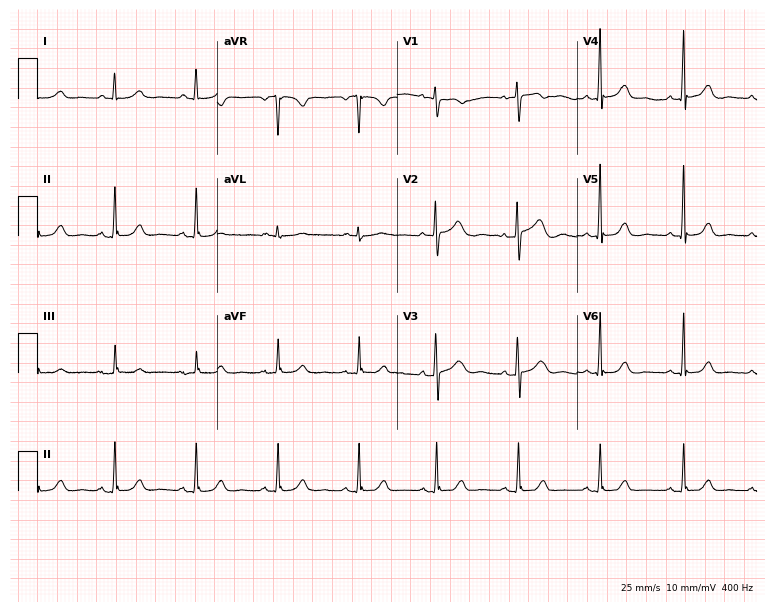
12-lead ECG from a 58-year-old female patient. Recorded interpretation: within normal limits.